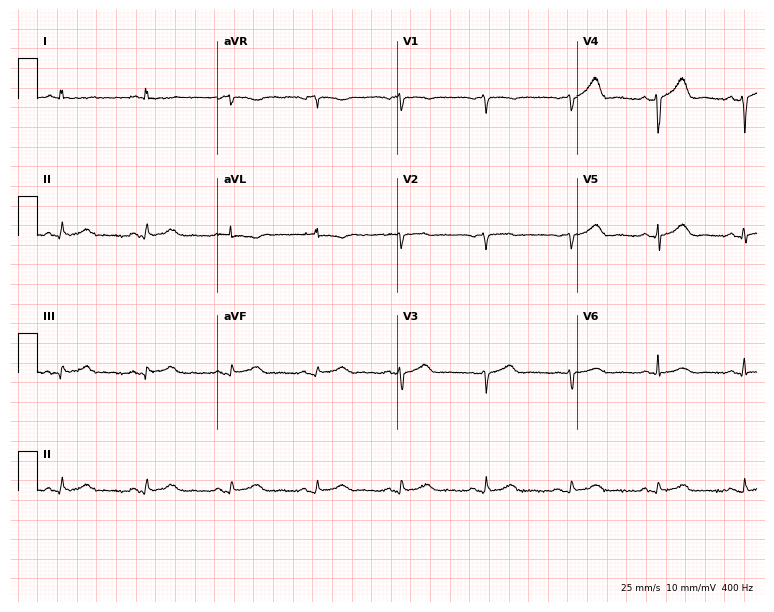
Standard 12-lead ECG recorded from a female patient, 57 years old (7.3-second recording at 400 Hz). None of these six findings is recorded: first-degree AV block, right bundle branch block (RBBB), left bundle branch block (LBBB), sinus bradycardia, atrial fibrillation (AF), sinus tachycardia.